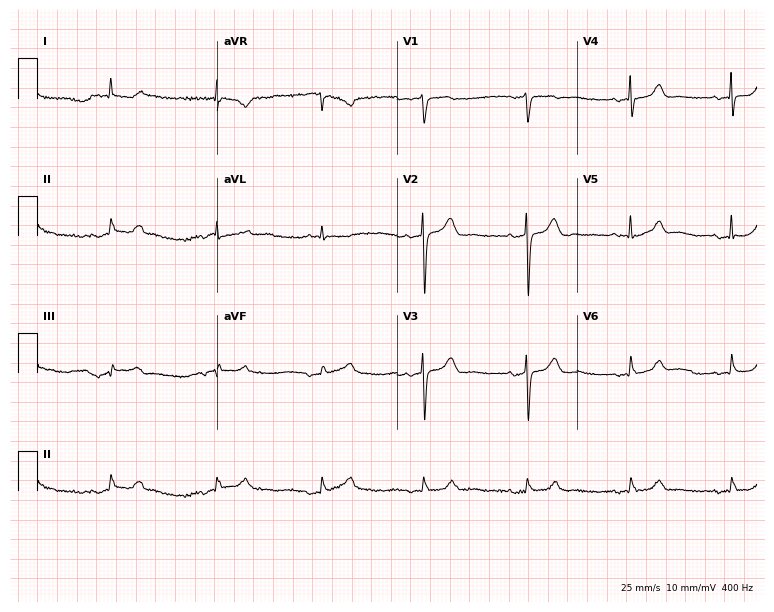
12-lead ECG from a 77-year-old male (7.3-second recording at 400 Hz). Recorded interpretation: within normal limits.